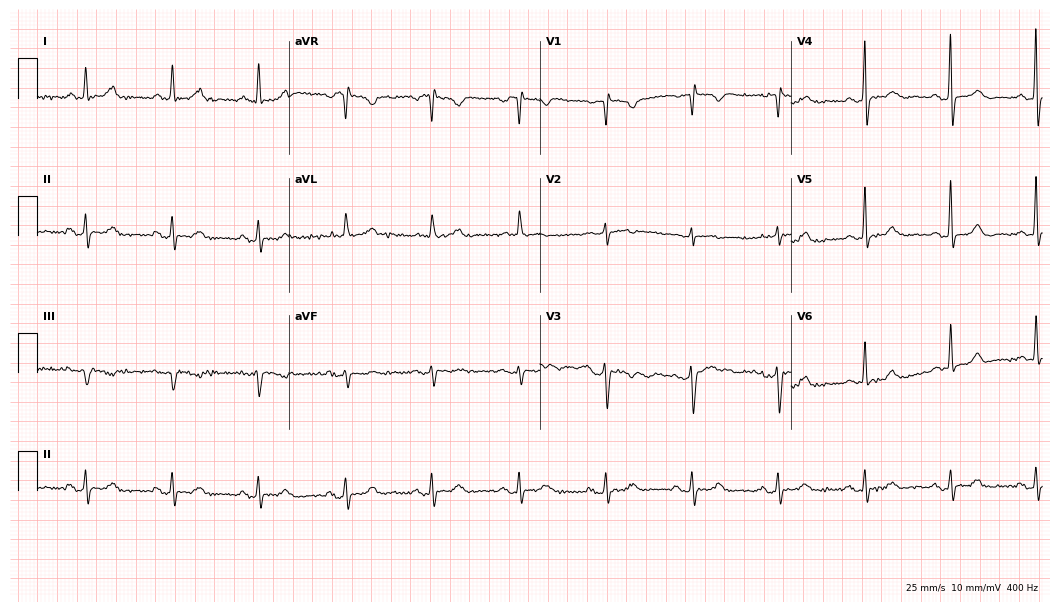
Standard 12-lead ECG recorded from a 70-year-old woman. None of these six findings is recorded: first-degree AV block, right bundle branch block (RBBB), left bundle branch block (LBBB), sinus bradycardia, atrial fibrillation (AF), sinus tachycardia. Only these six findings were labelled.